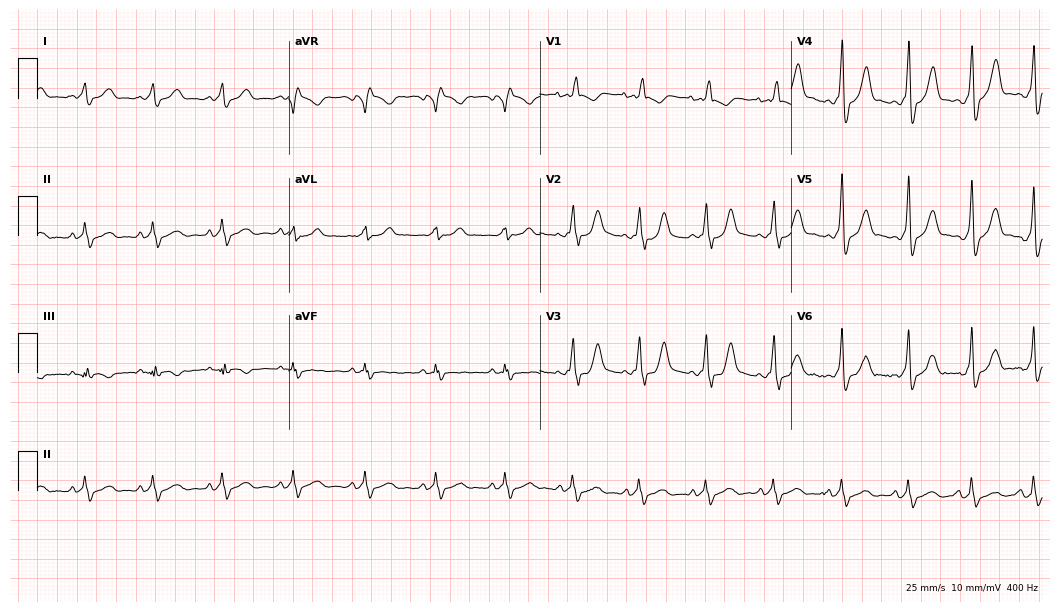
Electrocardiogram (10.2-second recording at 400 Hz), a man, 29 years old. Interpretation includes right bundle branch block (RBBB).